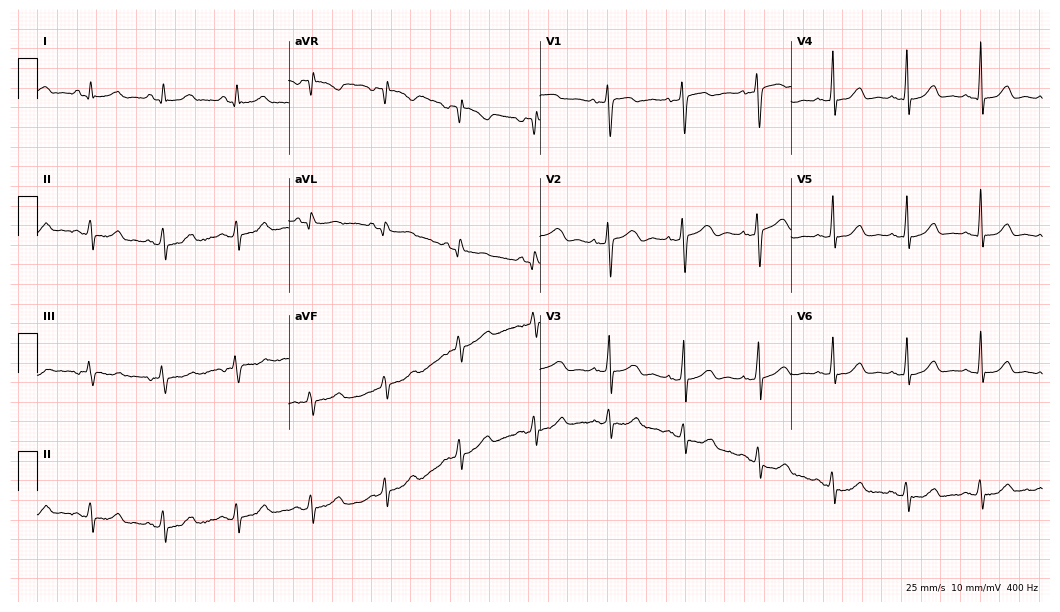
Electrocardiogram (10.2-second recording at 400 Hz), a 48-year-old female. Overall reading on record: normal ECG.